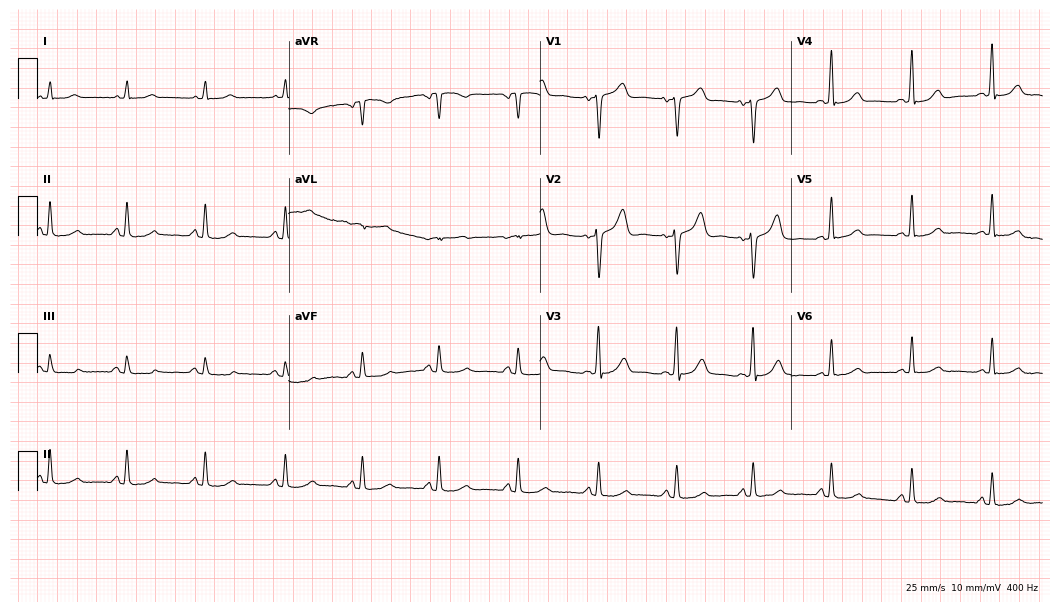
ECG (10.2-second recording at 400 Hz) — a female, 46 years old. Labelled as a normal ECG.